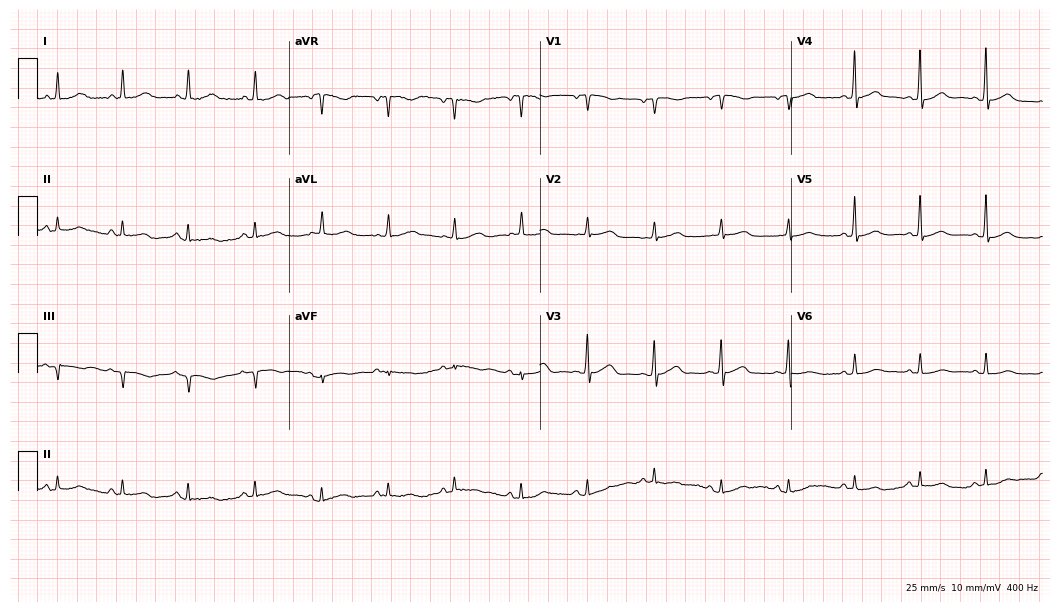
ECG — a woman, 74 years old. Labelled as a normal ECG.